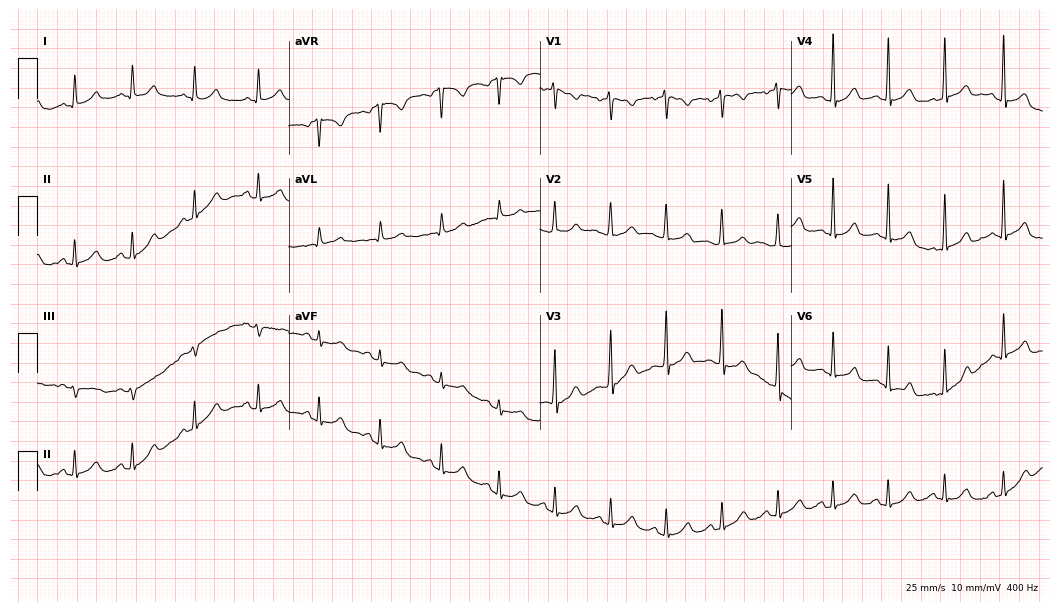
ECG — a female, 19 years old. Labelled as a normal ECG.